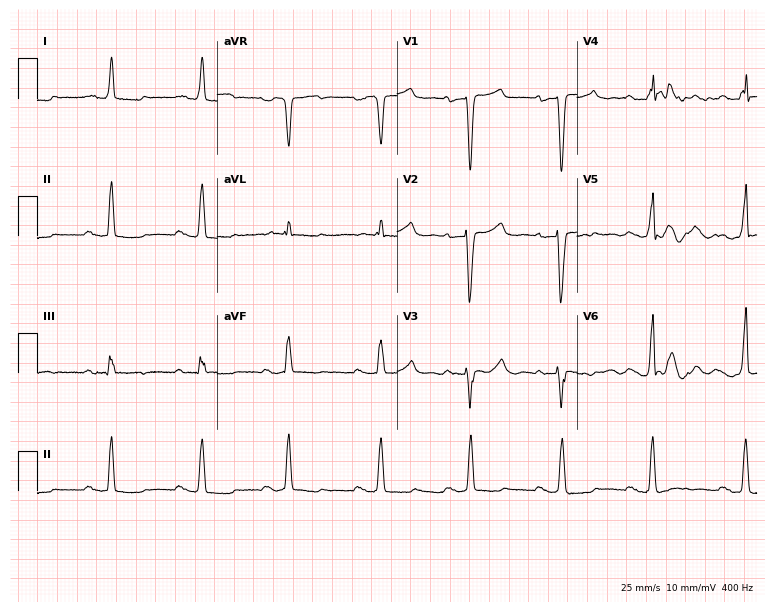
Electrocardiogram, a 70-year-old female patient. Interpretation includes first-degree AV block.